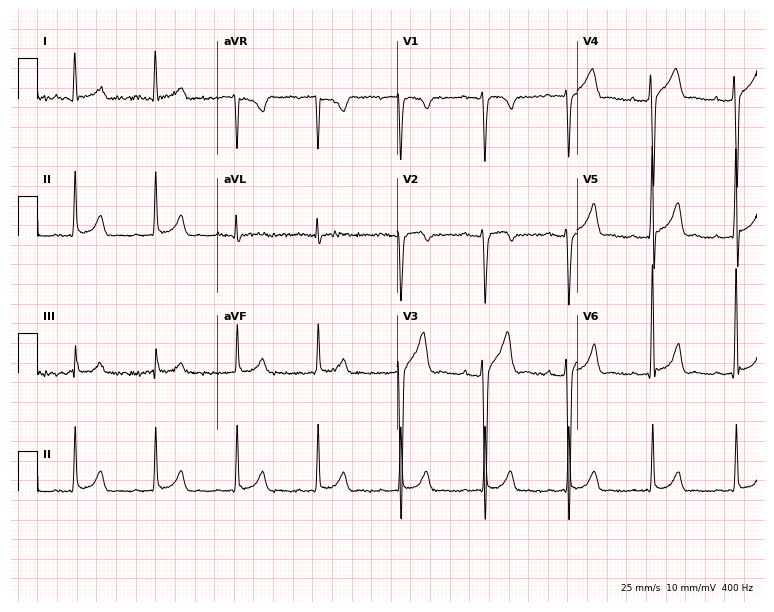
Electrocardiogram, a 29-year-old man. Of the six screened findings (first-degree AV block, right bundle branch block (RBBB), left bundle branch block (LBBB), sinus bradycardia, atrial fibrillation (AF), sinus tachycardia), none is recorded. Only these six findings were labelled.